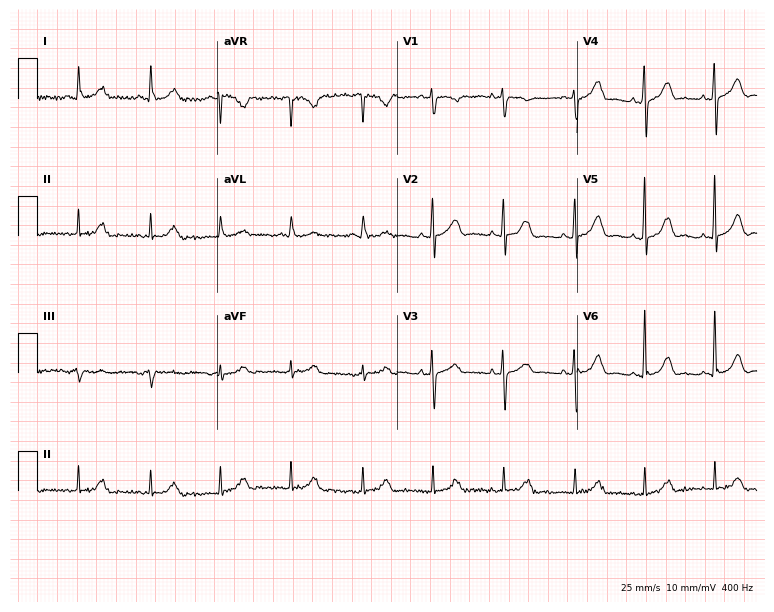
Standard 12-lead ECG recorded from an 80-year-old female patient (7.3-second recording at 400 Hz). Read as a normal ECG.